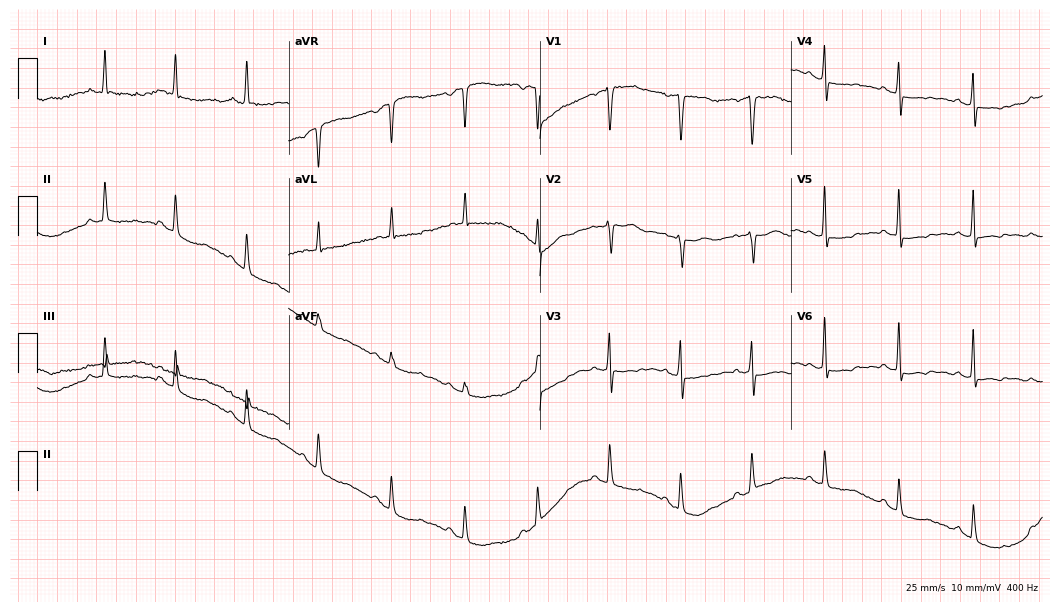
12-lead ECG (10.2-second recording at 400 Hz) from a woman, 63 years old. Screened for six findings — first-degree AV block, right bundle branch block, left bundle branch block, sinus bradycardia, atrial fibrillation, sinus tachycardia — none is recorded.